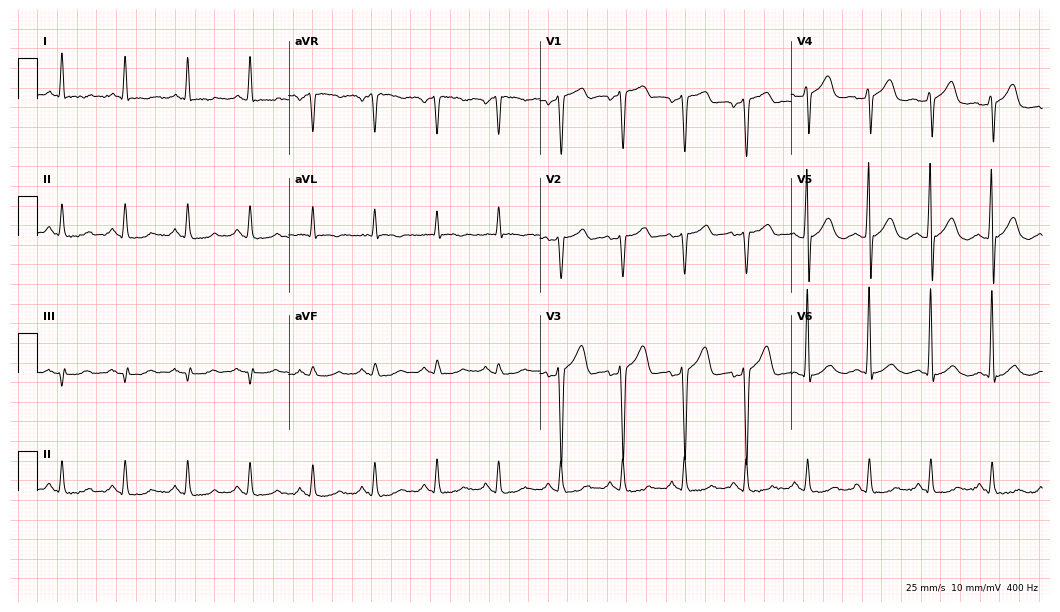
12-lead ECG from a male, 59 years old (10.2-second recording at 400 Hz). Recorded interpretation: within normal limits.